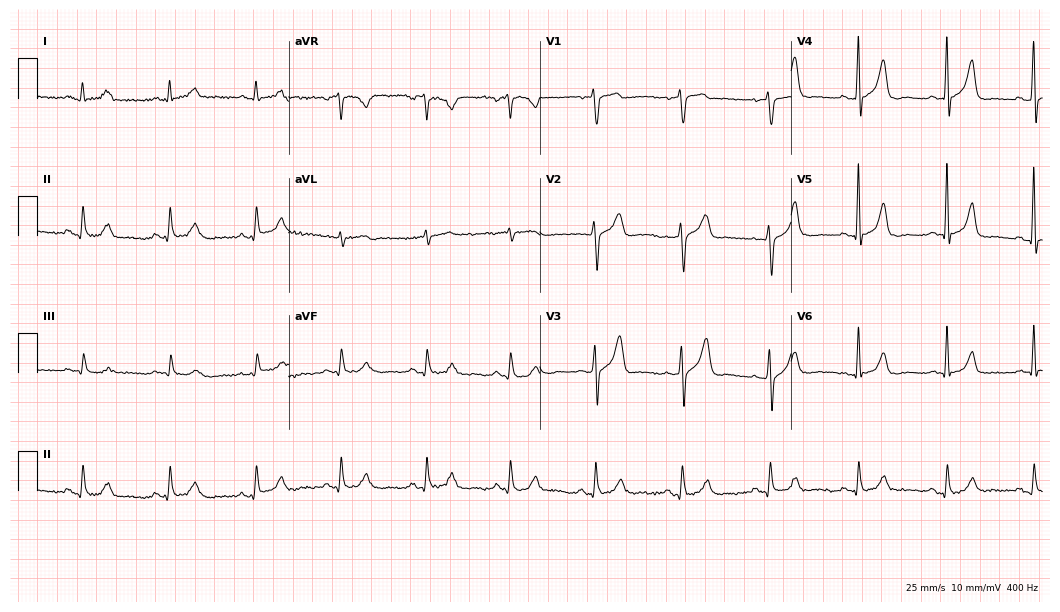
ECG — a man, 75 years old. Labelled as a normal ECG.